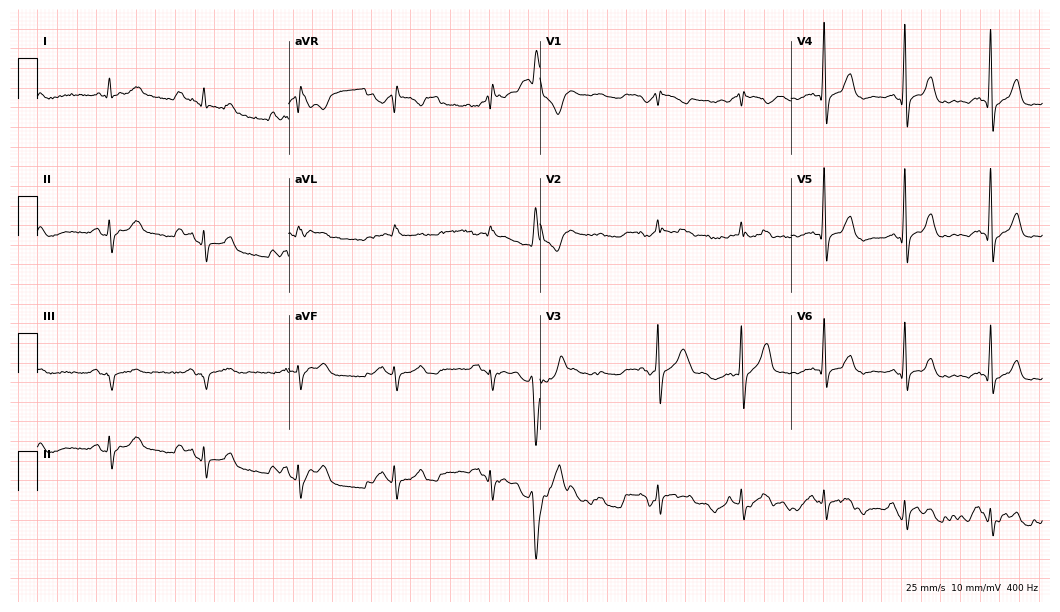
12-lead ECG from a male, 71 years old. Screened for six findings — first-degree AV block, right bundle branch block, left bundle branch block, sinus bradycardia, atrial fibrillation, sinus tachycardia — none is recorded. Findings outside these six are not listed.